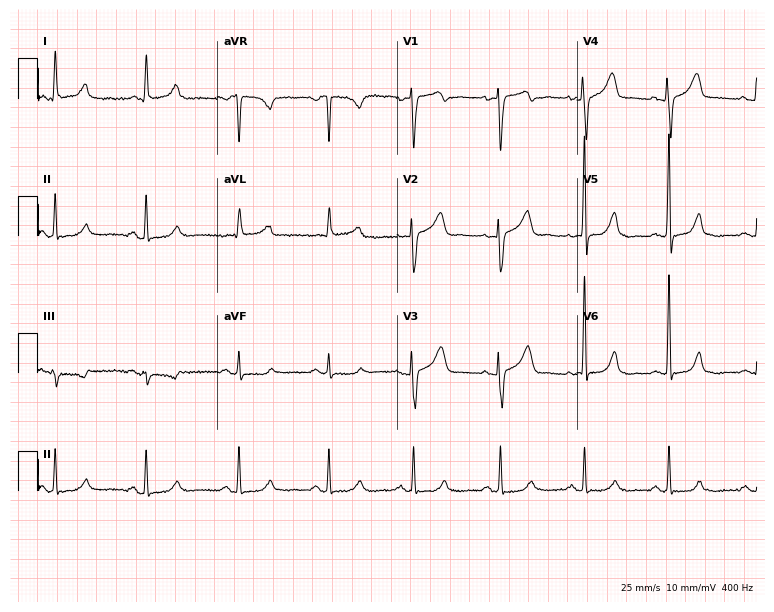
Standard 12-lead ECG recorded from a female patient, 58 years old (7.3-second recording at 400 Hz). None of these six findings is recorded: first-degree AV block, right bundle branch block (RBBB), left bundle branch block (LBBB), sinus bradycardia, atrial fibrillation (AF), sinus tachycardia.